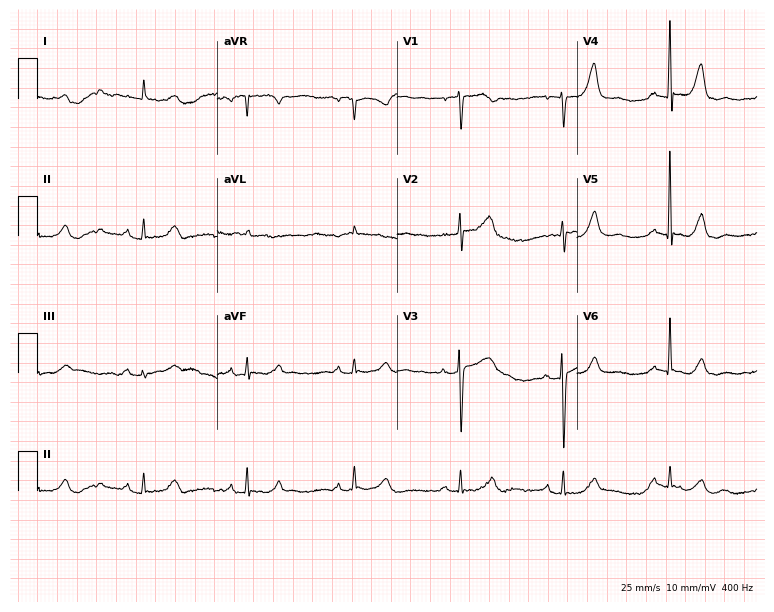
12-lead ECG (7.3-second recording at 400 Hz) from an 83-year-old female. Labelled as a normal ECG.